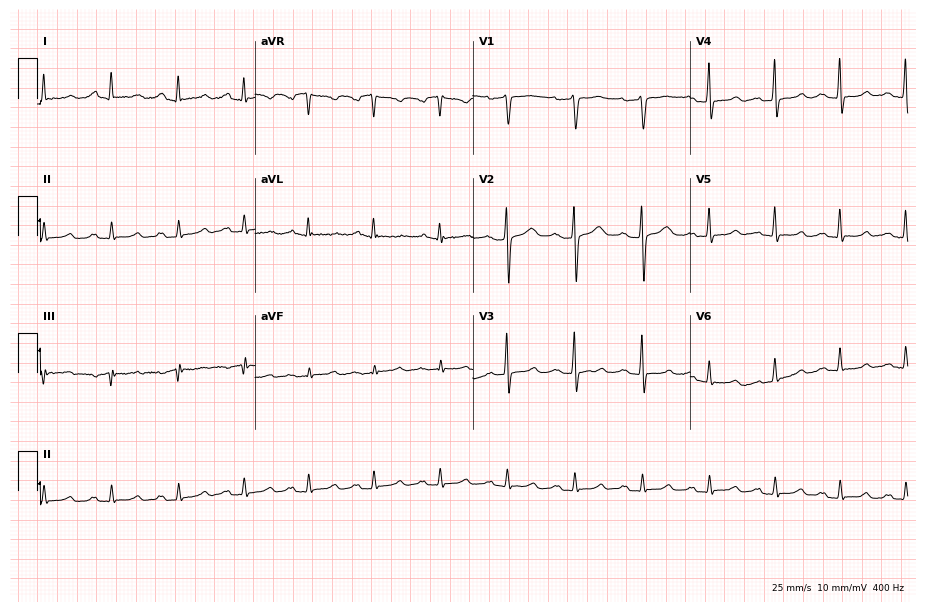
ECG (8.9-second recording at 400 Hz) — a woman, 29 years old. Labelled as a normal ECG.